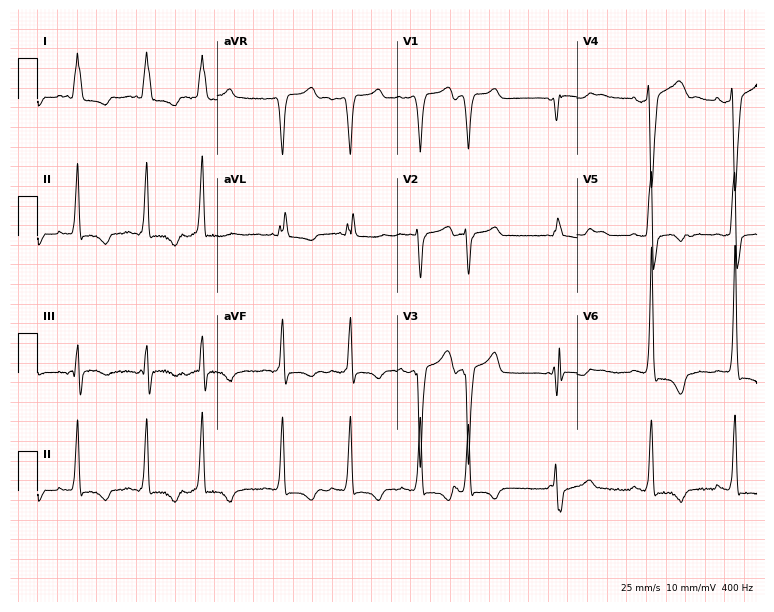
12-lead ECG (7.3-second recording at 400 Hz) from a female patient, 80 years old. Findings include left bundle branch block, atrial fibrillation.